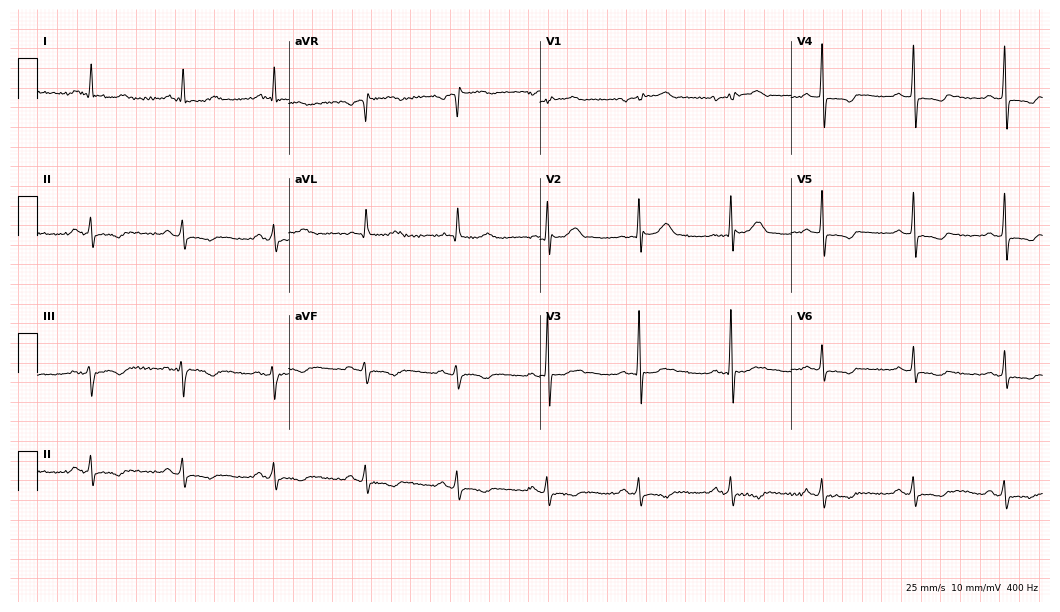
12-lead ECG from a male patient, 71 years old (10.2-second recording at 400 Hz). No first-degree AV block, right bundle branch block, left bundle branch block, sinus bradycardia, atrial fibrillation or sinus tachycardia recorded for this tracing. Findings outside these six are not listed.